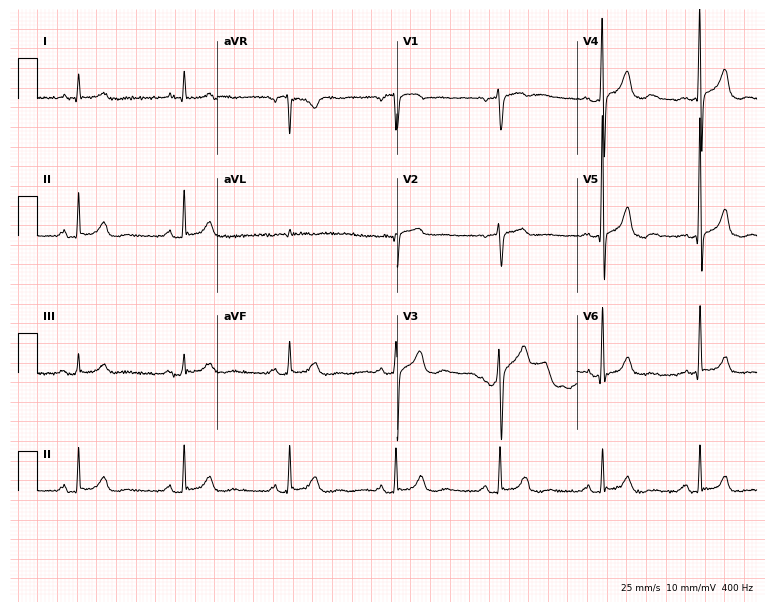
Electrocardiogram (7.3-second recording at 400 Hz), a male, 68 years old. Overall reading on record: normal ECG.